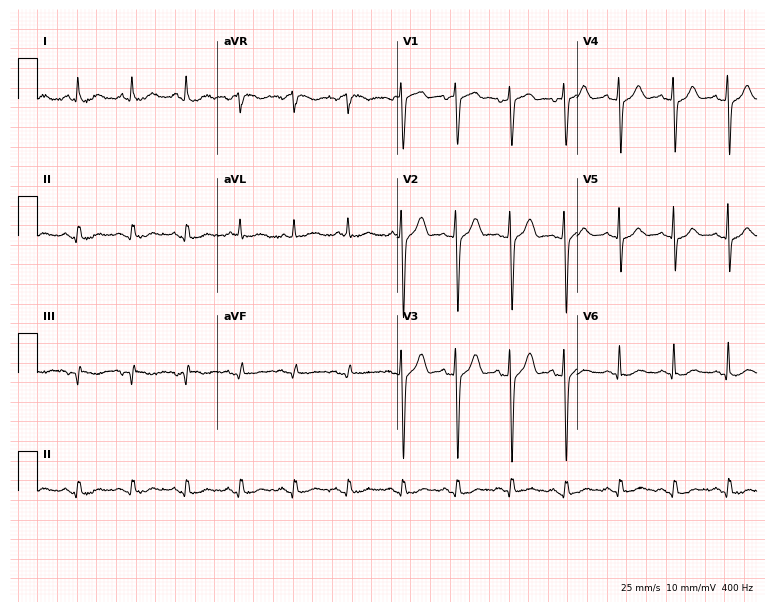
12-lead ECG (7.3-second recording at 400 Hz) from a 69-year-old man. Findings include sinus tachycardia (a sinus rate of 100 beats per minute or more).